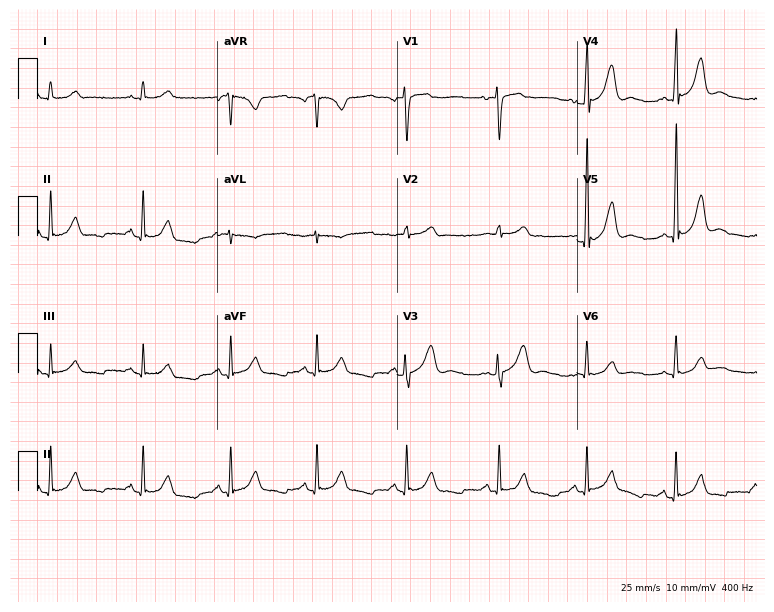
12-lead ECG from a 52-year-old female. Recorded interpretation: within normal limits.